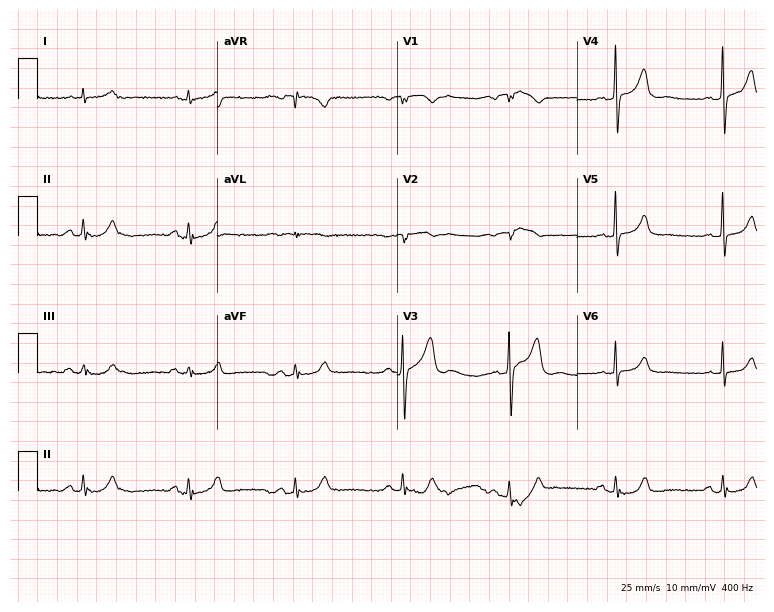
12-lead ECG from a male patient, 73 years old (7.3-second recording at 400 Hz). Recorded interpretation: within normal limits.